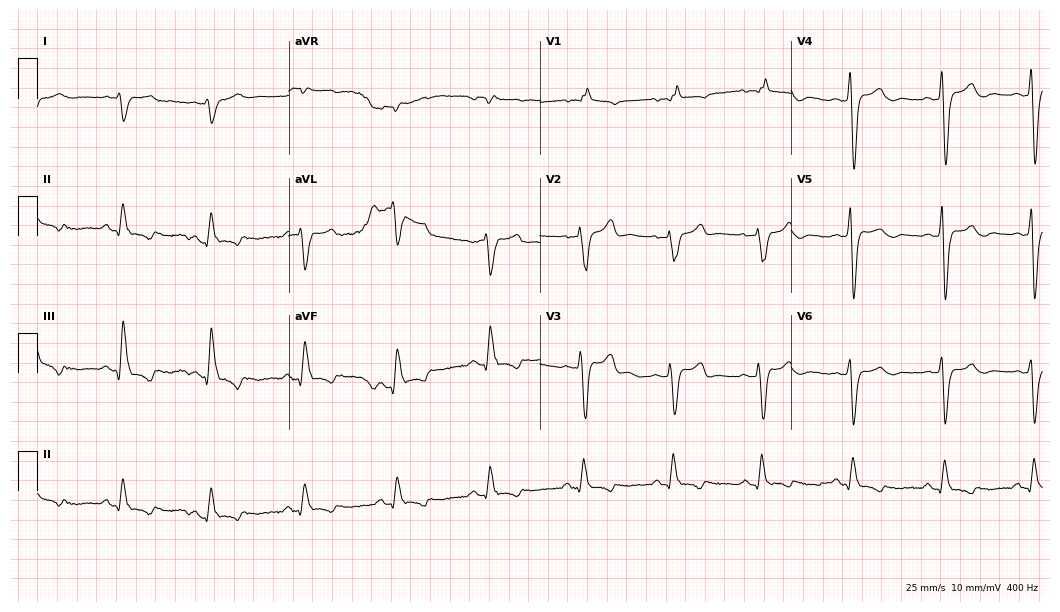
12-lead ECG (10.2-second recording at 400 Hz) from a male patient, 40 years old. Screened for six findings — first-degree AV block, right bundle branch block, left bundle branch block, sinus bradycardia, atrial fibrillation, sinus tachycardia — none is recorded.